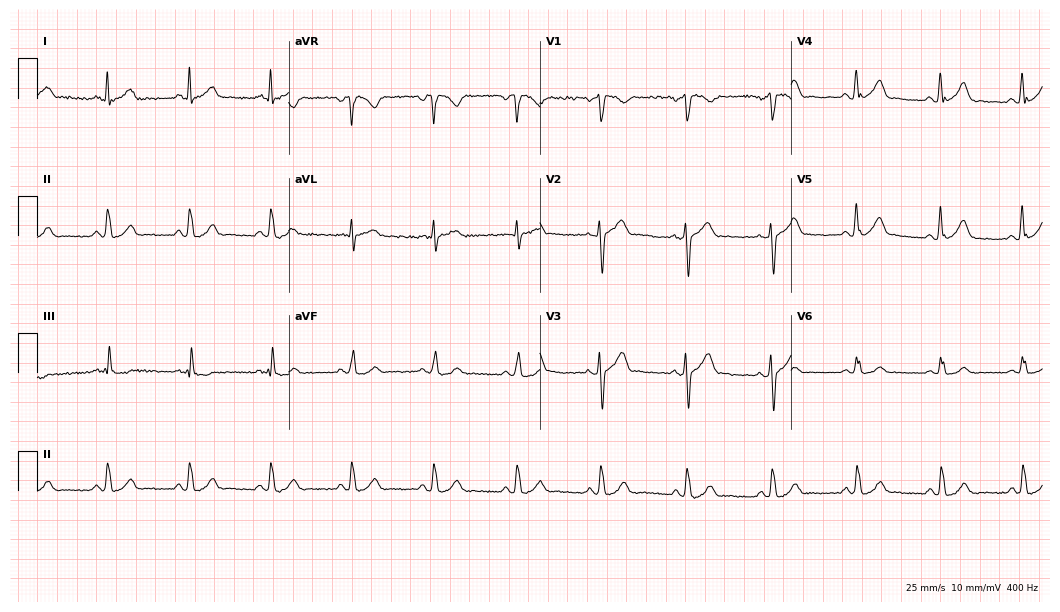
12-lead ECG from a male patient, 54 years old. Recorded interpretation: within normal limits.